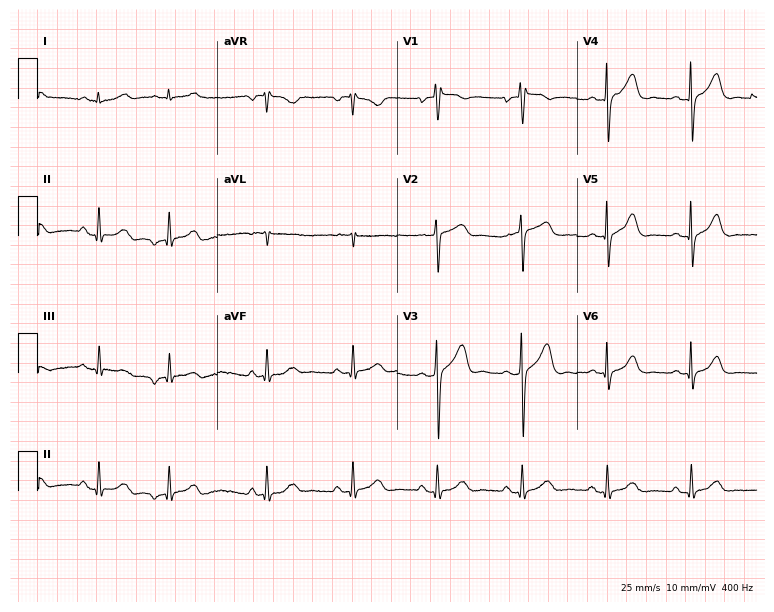
Resting 12-lead electrocardiogram. Patient: a 34-year-old male. Read as a normal ECG.